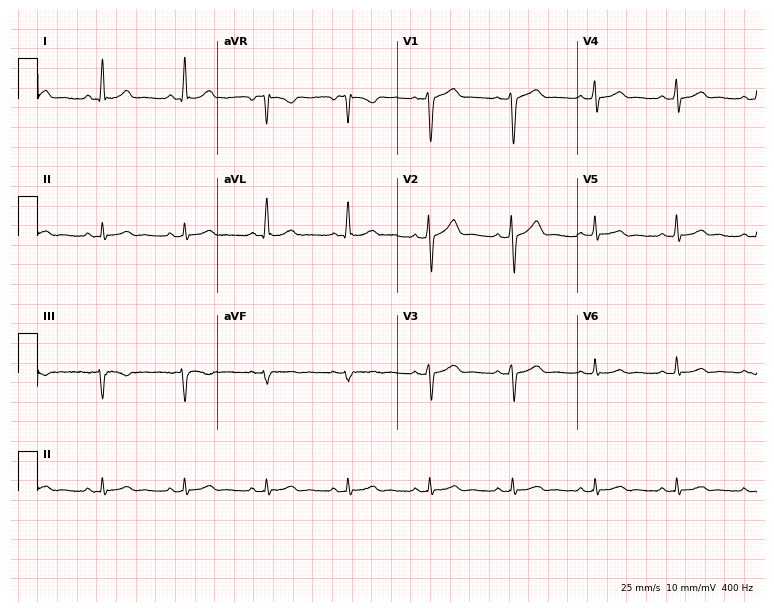
12-lead ECG from a male patient, 49 years old. Screened for six findings — first-degree AV block, right bundle branch block, left bundle branch block, sinus bradycardia, atrial fibrillation, sinus tachycardia — none is recorded.